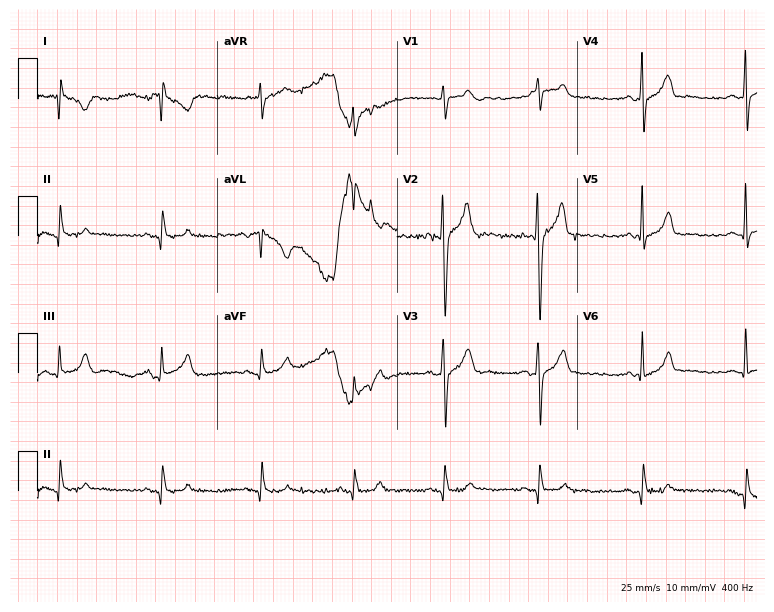
Resting 12-lead electrocardiogram. Patient: a male, 38 years old. None of these six findings is recorded: first-degree AV block, right bundle branch block, left bundle branch block, sinus bradycardia, atrial fibrillation, sinus tachycardia.